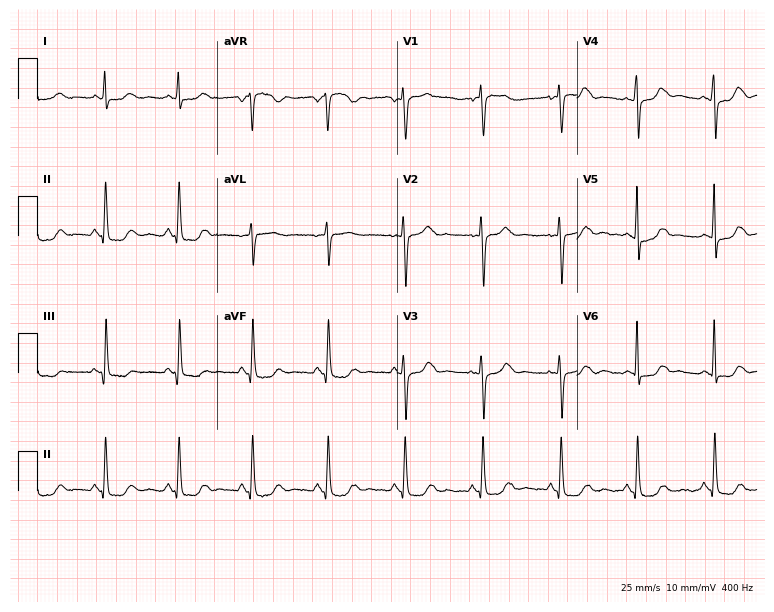
12-lead ECG from a 52-year-old woman (7.3-second recording at 400 Hz). No first-degree AV block, right bundle branch block (RBBB), left bundle branch block (LBBB), sinus bradycardia, atrial fibrillation (AF) or sinus tachycardia recorded for this tracing.